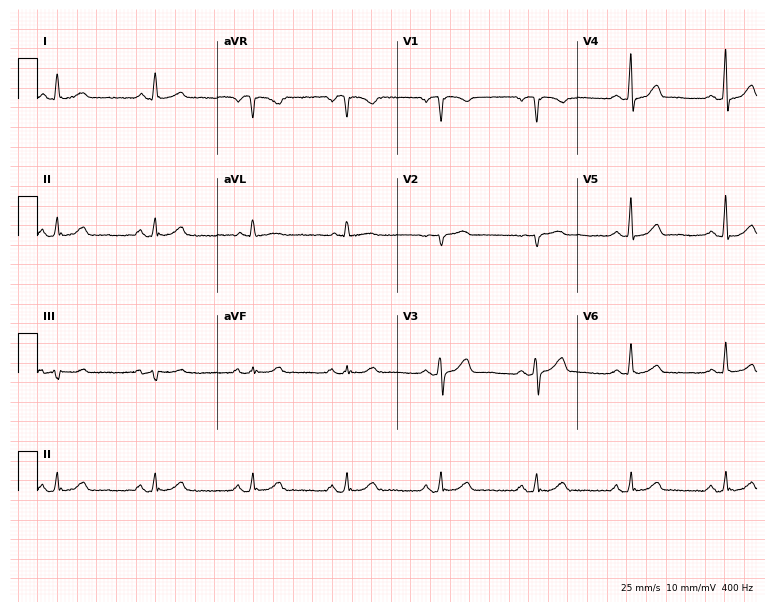
ECG — a female patient, 51 years old. Labelled as a normal ECG.